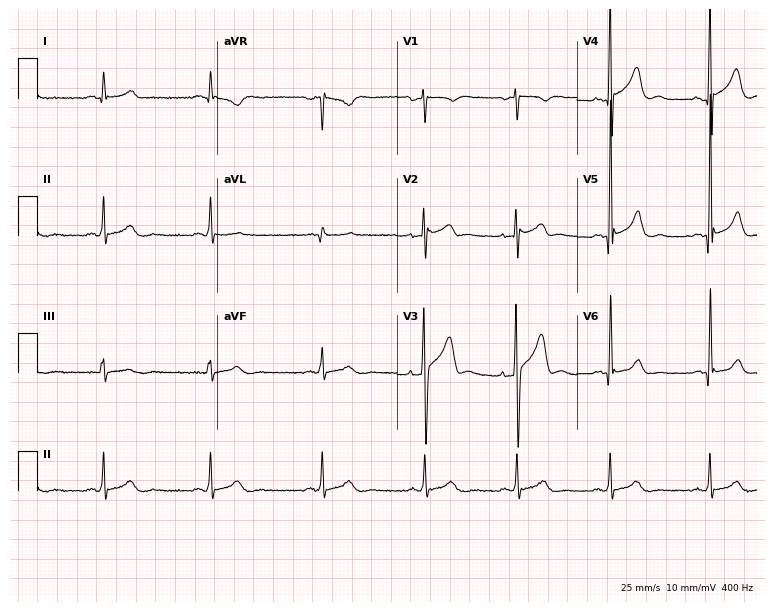
Resting 12-lead electrocardiogram (7.3-second recording at 400 Hz). Patient: a man, 42 years old. Read as a normal ECG.